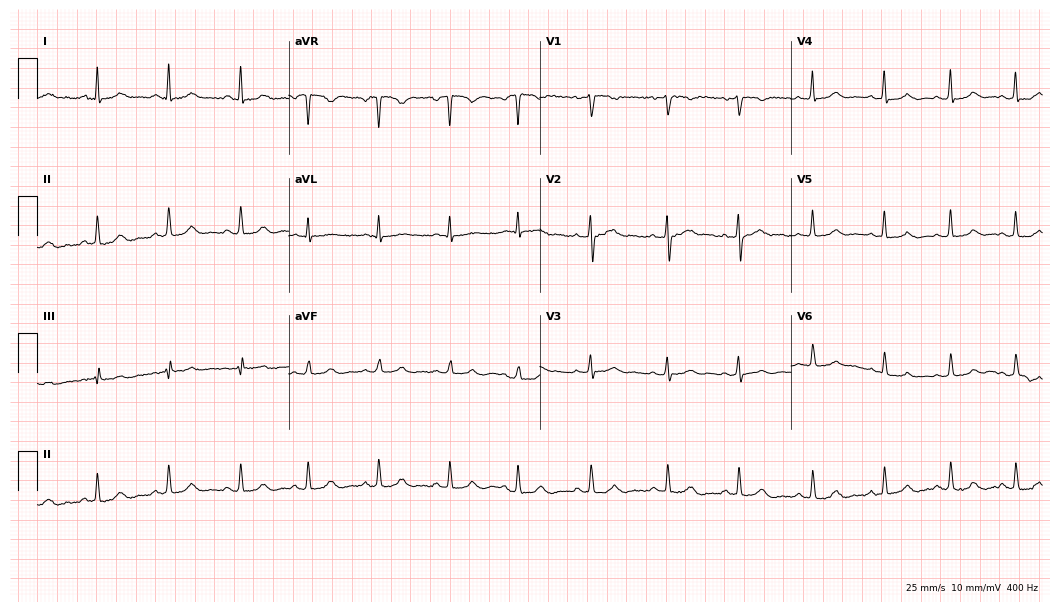
Standard 12-lead ECG recorded from a 42-year-old female (10.2-second recording at 400 Hz). Read as a normal ECG.